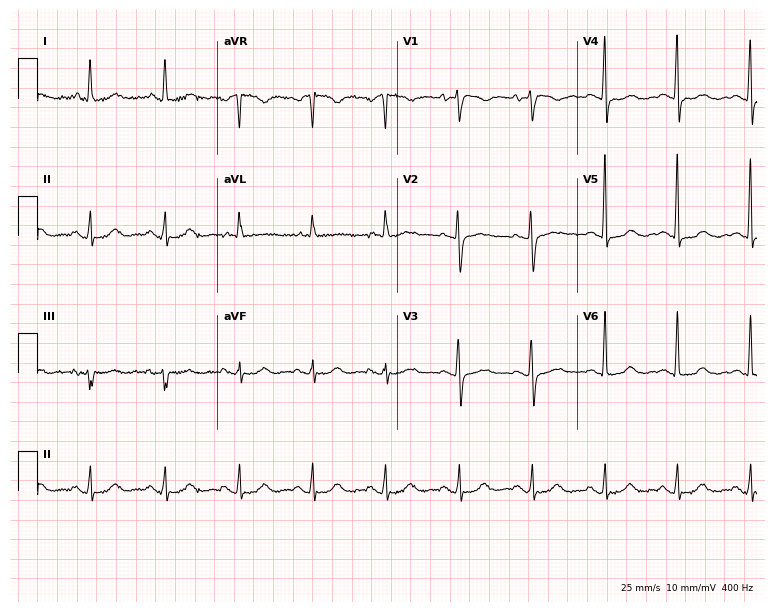
12-lead ECG from a 63-year-old woman. Screened for six findings — first-degree AV block, right bundle branch block, left bundle branch block, sinus bradycardia, atrial fibrillation, sinus tachycardia — none is recorded. Only these six findings were labelled.